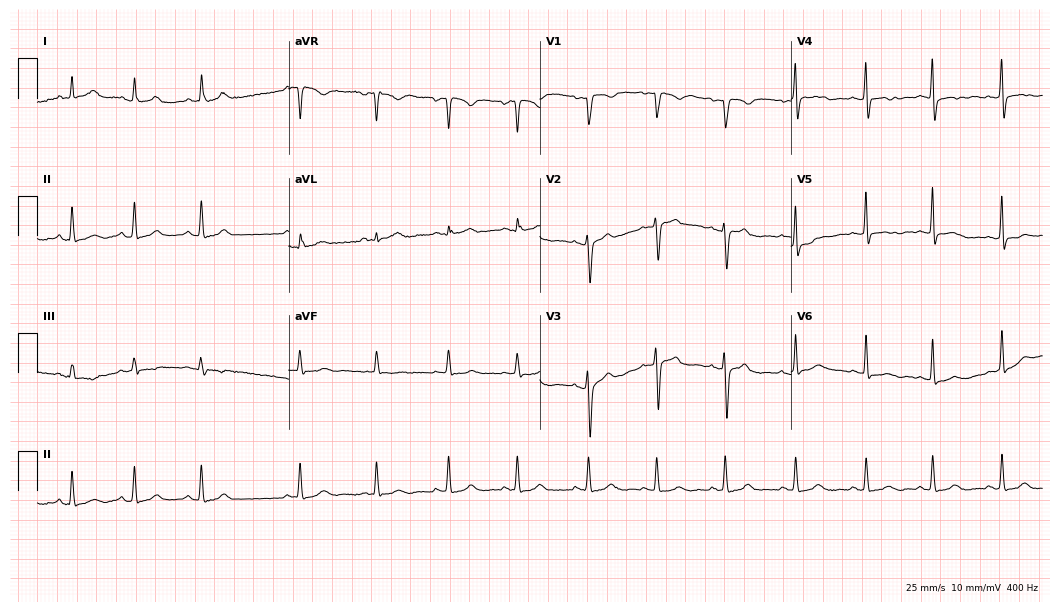
Standard 12-lead ECG recorded from a 28-year-old female patient. None of these six findings is recorded: first-degree AV block, right bundle branch block (RBBB), left bundle branch block (LBBB), sinus bradycardia, atrial fibrillation (AF), sinus tachycardia. Other findings, if any, are not listed.